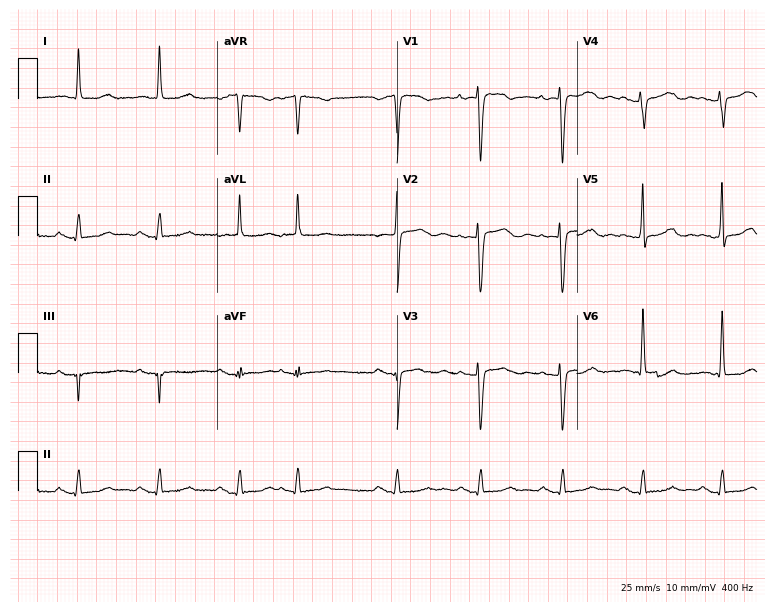
ECG — a 62-year-old woman. Screened for six findings — first-degree AV block, right bundle branch block, left bundle branch block, sinus bradycardia, atrial fibrillation, sinus tachycardia — none is recorded. Only these six findings were labelled.